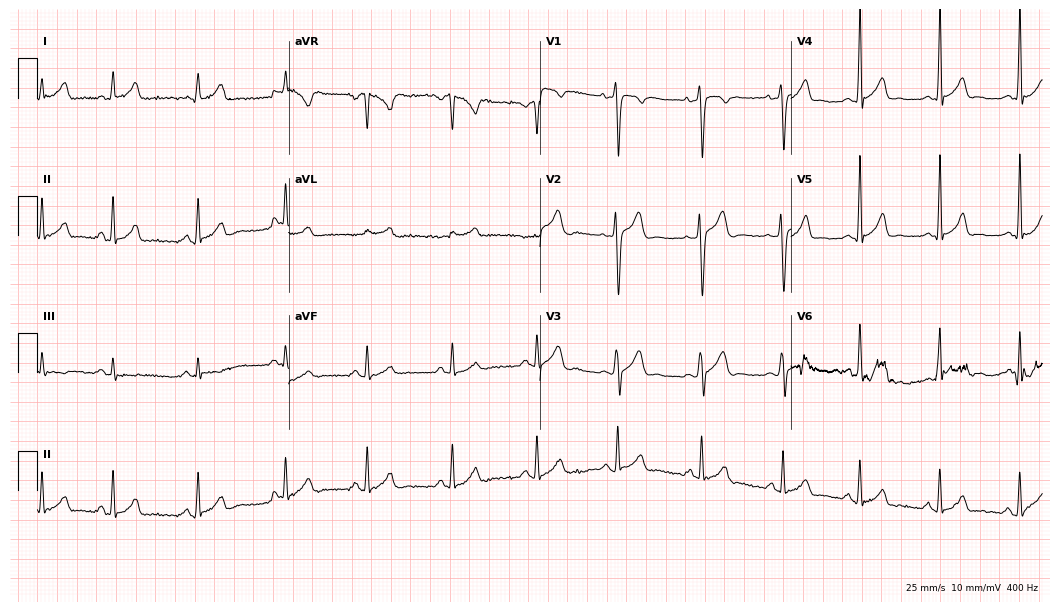
12-lead ECG from a man, 22 years old (10.2-second recording at 400 Hz). Recorded interpretation: within normal limits.